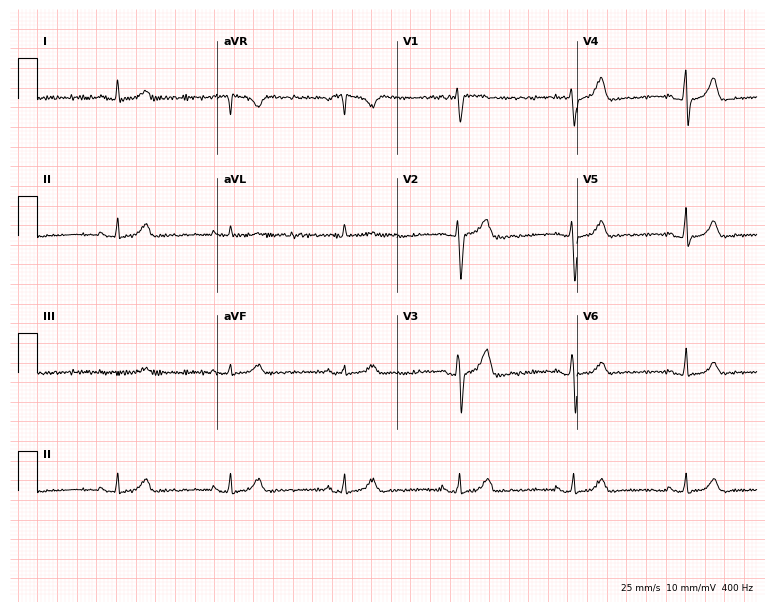
Standard 12-lead ECG recorded from a 56-year-old male patient (7.3-second recording at 400 Hz). The tracing shows sinus bradycardia (a sinus rate of 50 beats per minute or less).